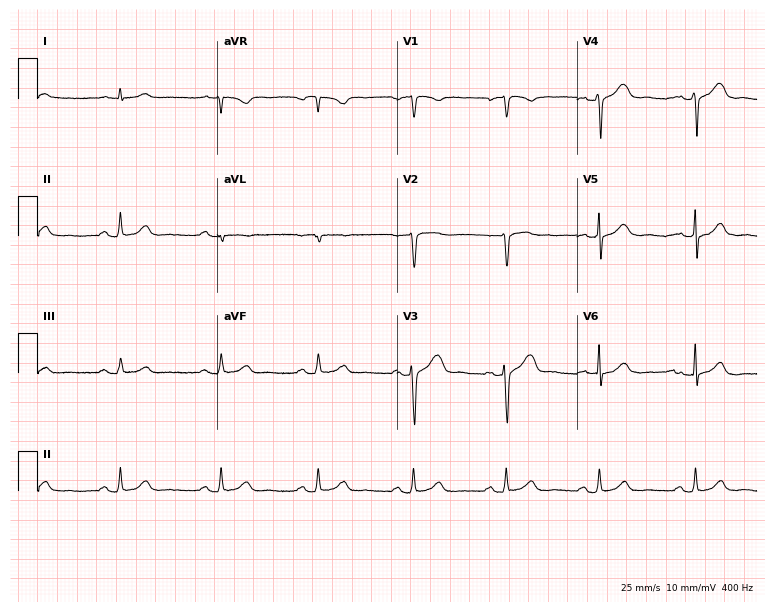
Resting 12-lead electrocardiogram. Patient: a male, 56 years old. None of these six findings is recorded: first-degree AV block, right bundle branch block, left bundle branch block, sinus bradycardia, atrial fibrillation, sinus tachycardia.